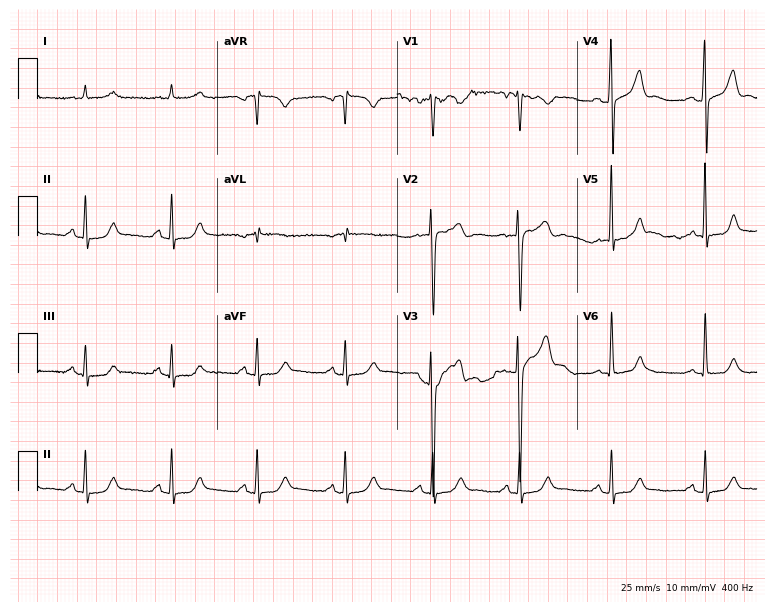
Resting 12-lead electrocardiogram (7.3-second recording at 400 Hz). Patient: a 60-year-old male. None of these six findings is recorded: first-degree AV block, right bundle branch block (RBBB), left bundle branch block (LBBB), sinus bradycardia, atrial fibrillation (AF), sinus tachycardia.